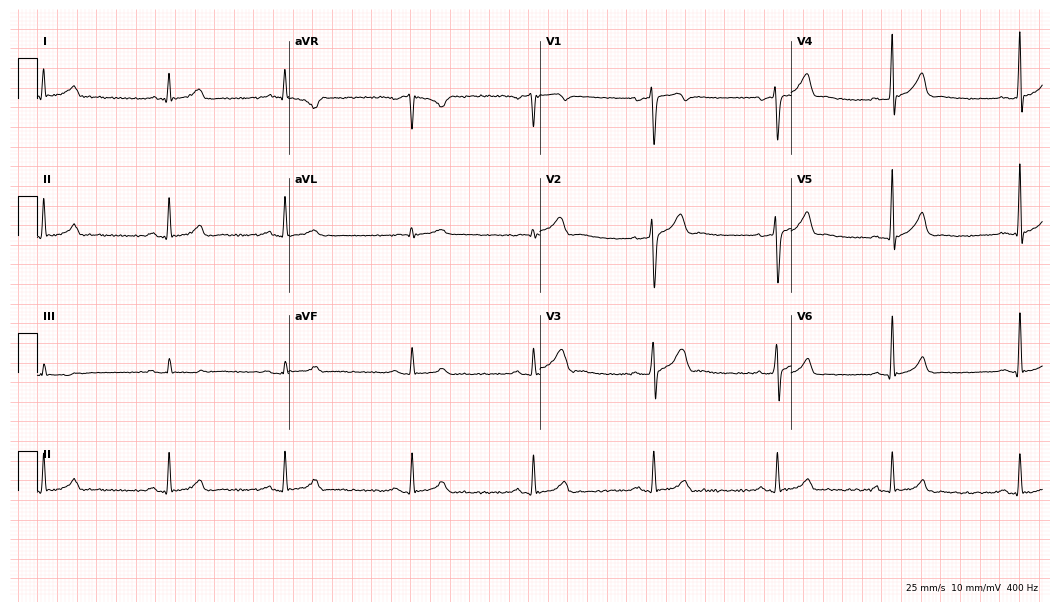
Resting 12-lead electrocardiogram. Patient: a male, 35 years old. The tracing shows sinus bradycardia (a sinus rate of 50 beats per minute or less).